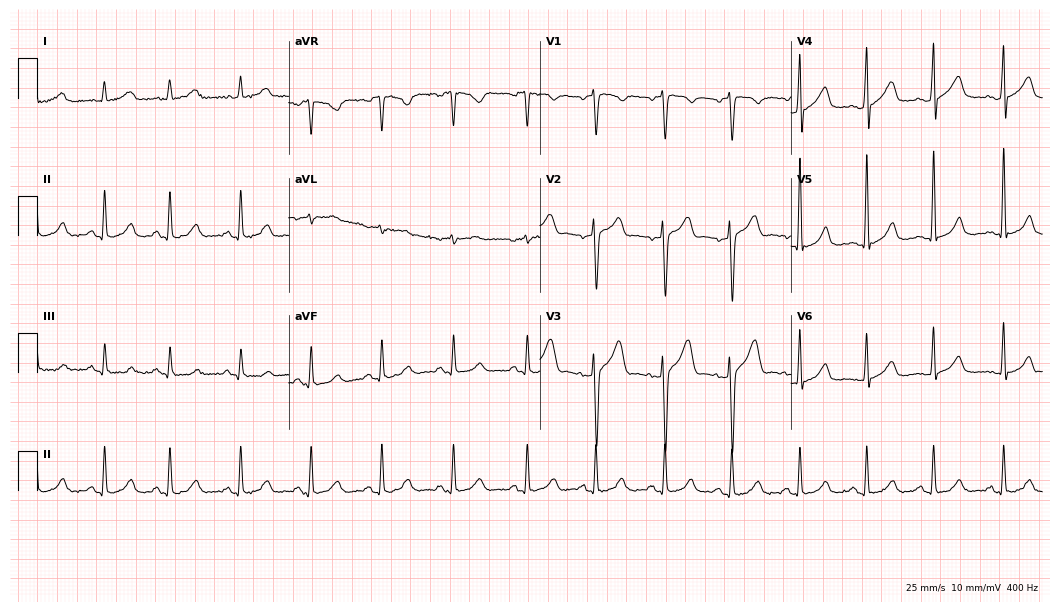
Resting 12-lead electrocardiogram. Patient: a male, 36 years old. Read as a normal ECG.